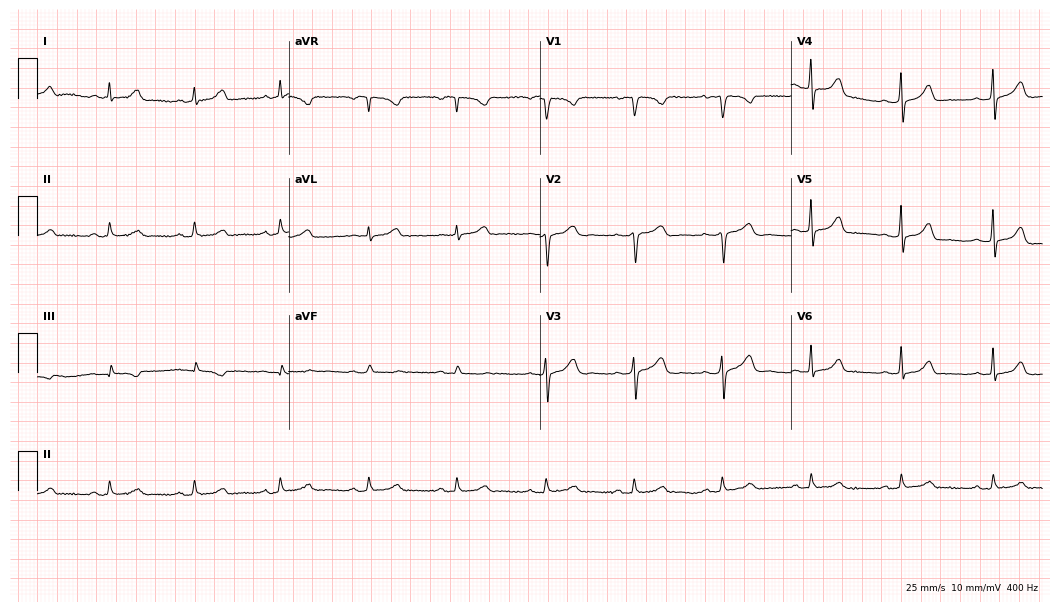
Standard 12-lead ECG recorded from a female patient, 28 years old. None of these six findings is recorded: first-degree AV block, right bundle branch block, left bundle branch block, sinus bradycardia, atrial fibrillation, sinus tachycardia.